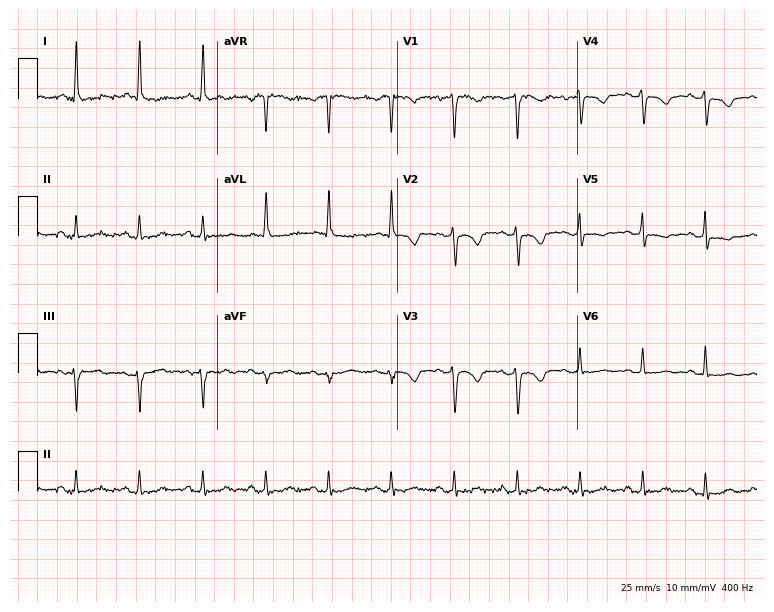
ECG — a 59-year-old female patient. Screened for six findings — first-degree AV block, right bundle branch block (RBBB), left bundle branch block (LBBB), sinus bradycardia, atrial fibrillation (AF), sinus tachycardia — none is recorded. Other findings, if any, are not listed.